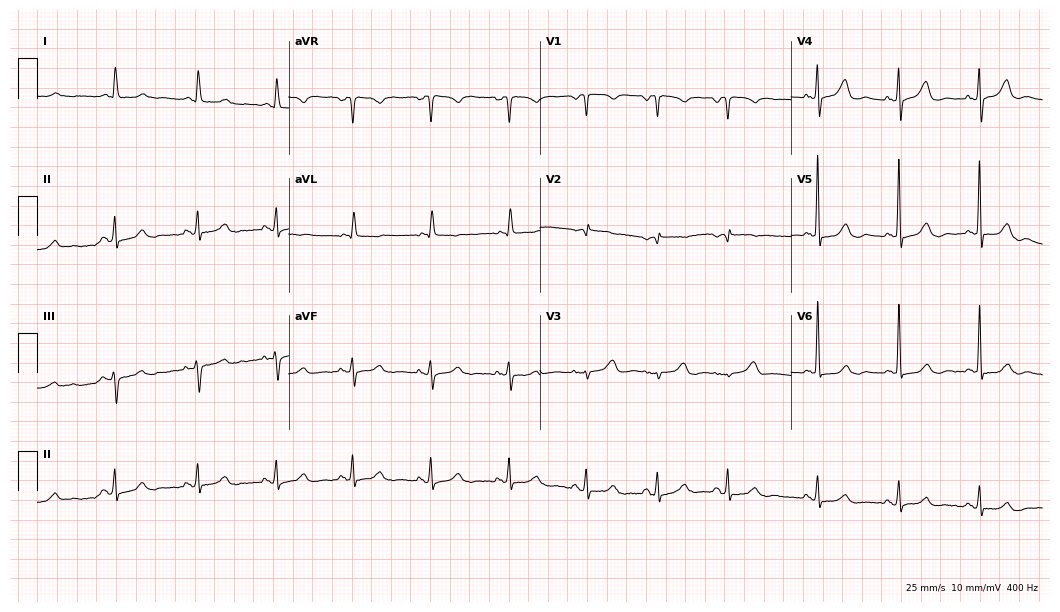
Standard 12-lead ECG recorded from an 84-year-old female (10.2-second recording at 400 Hz). Read as a normal ECG.